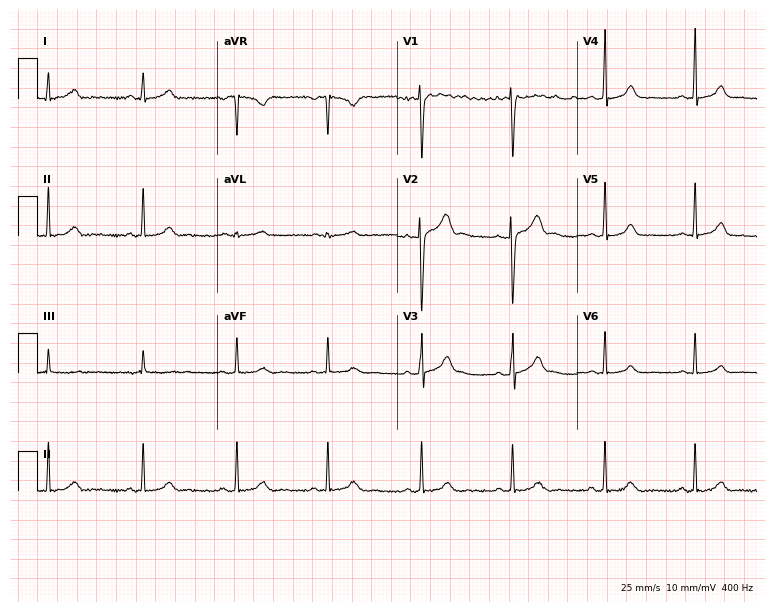
Resting 12-lead electrocardiogram (7.3-second recording at 400 Hz). Patient: a 27-year-old woman. None of these six findings is recorded: first-degree AV block, right bundle branch block, left bundle branch block, sinus bradycardia, atrial fibrillation, sinus tachycardia.